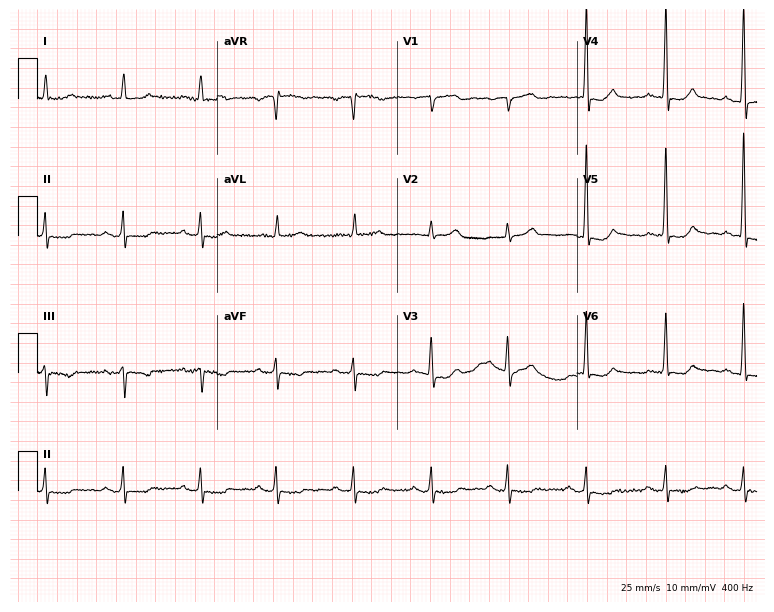
ECG — a male, 72 years old. Screened for six findings — first-degree AV block, right bundle branch block, left bundle branch block, sinus bradycardia, atrial fibrillation, sinus tachycardia — none is recorded.